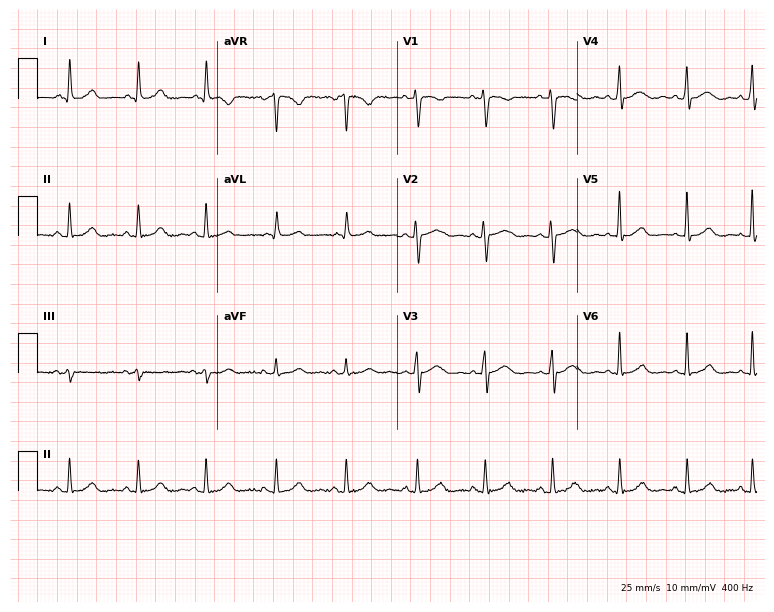
12-lead ECG from a female patient, 42 years old. Recorded interpretation: within normal limits.